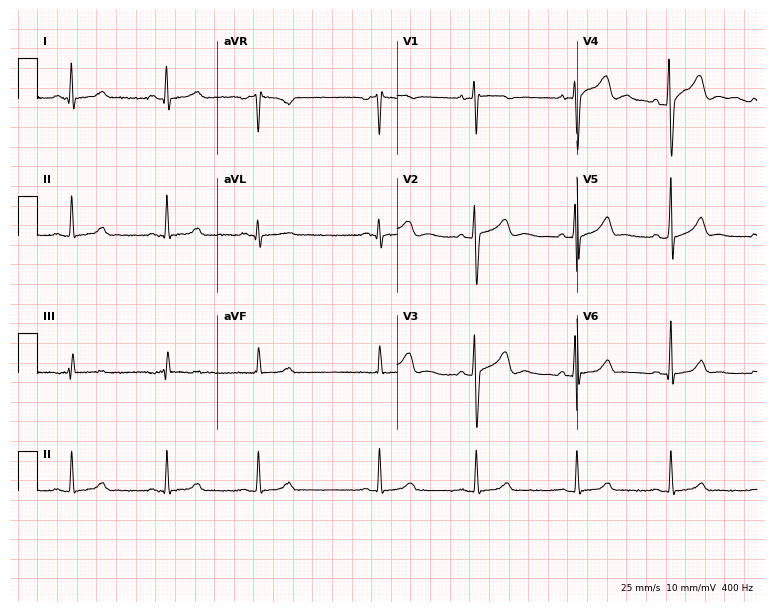
Electrocardiogram (7.3-second recording at 400 Hz), a female patient, 27 years old. Overall reading on record: normal ECG.